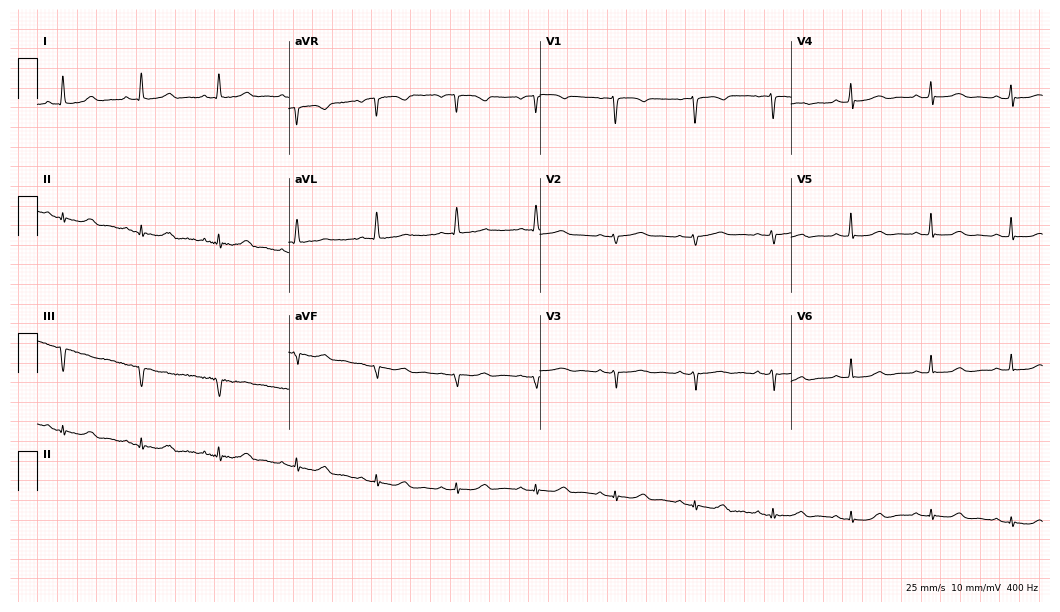
12-lead ECG from a female, 71 years old. No first-degree AV block, right bundle branch block, left bundle branch block, sinus bradycardia, atrial fibrillation or sinus tachycardia recorded for this tracing. Findings outside these six are not listed.